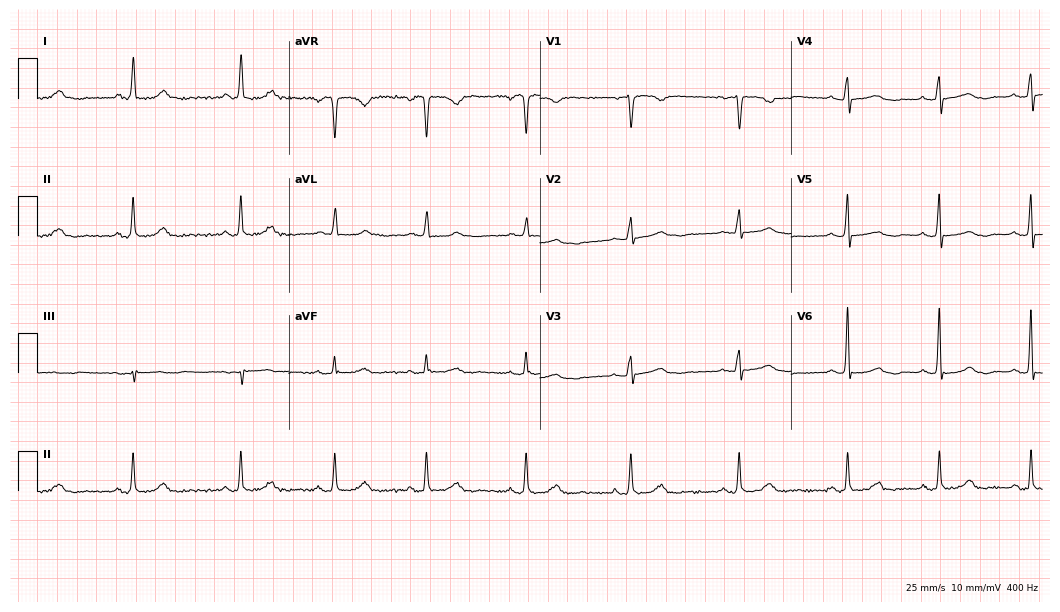
ECG (10.2-second recording at 400 Hz) — a female patient, 73 years old. Labelled as a normal ECG.